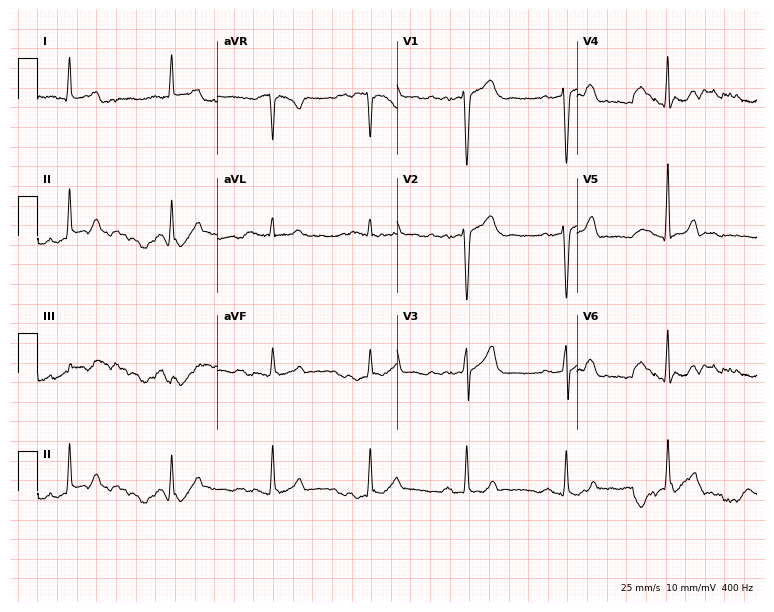
12-lead ECG from a man, 63 years old (7.3-second recording at 400 Hz). Recorded interpretation: within normal limits.